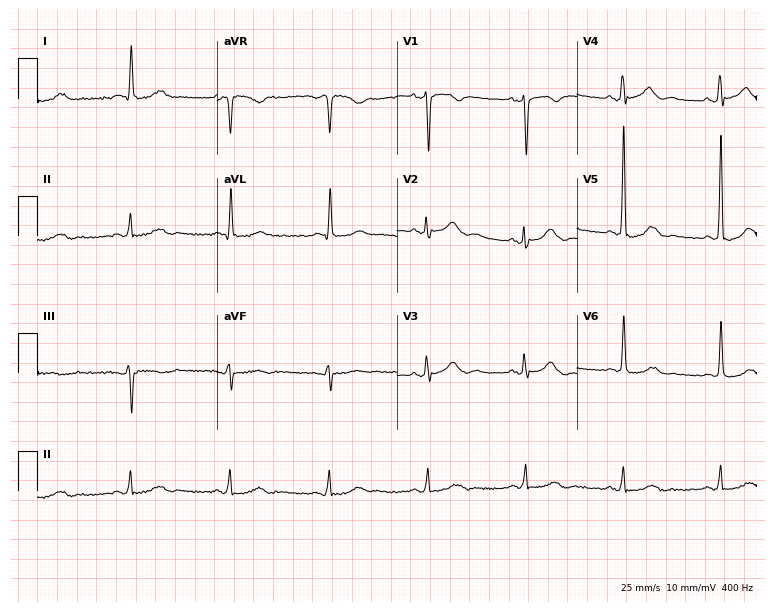
Standard 12-lead ECG recorded from a 73-year-old male. None of these six findings is recorded: first-degree AV block, right bundle branch block (RBBB), left bundle branch block (LBBB), sinus bradycardia, atrial fibrillation (AF), sinus tachycardia. Findings outside these six are not listed.